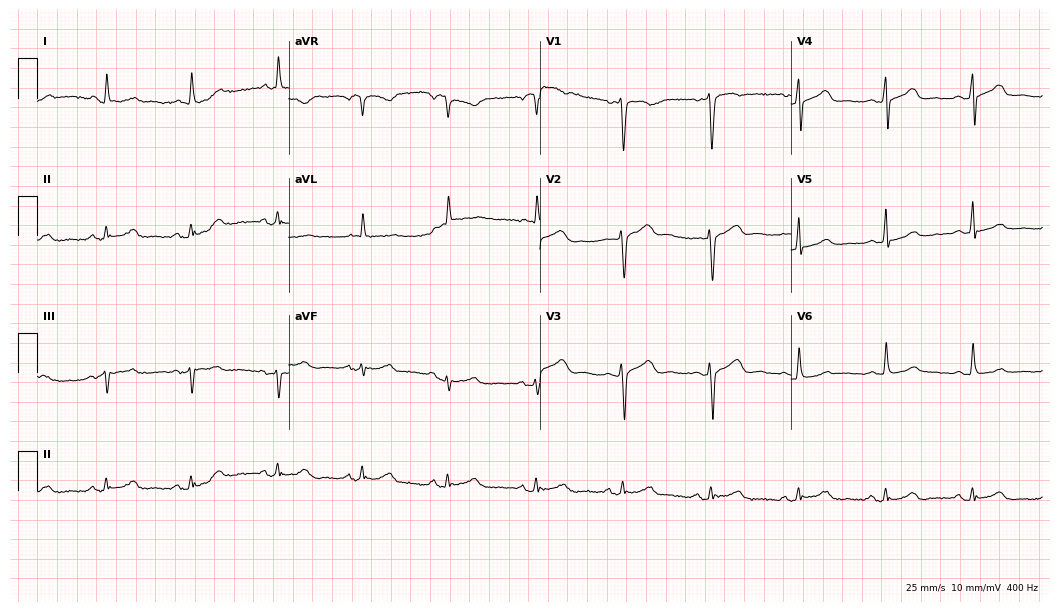
12-lead ECG from a female, 61 years old (10.2-second recording at 400 Hz). No first-degree AV block, right bundle branch block, left bundle branch block, sinus bradycardia, atrial fibrillation or sinus tachycardia recorded for this tracing.